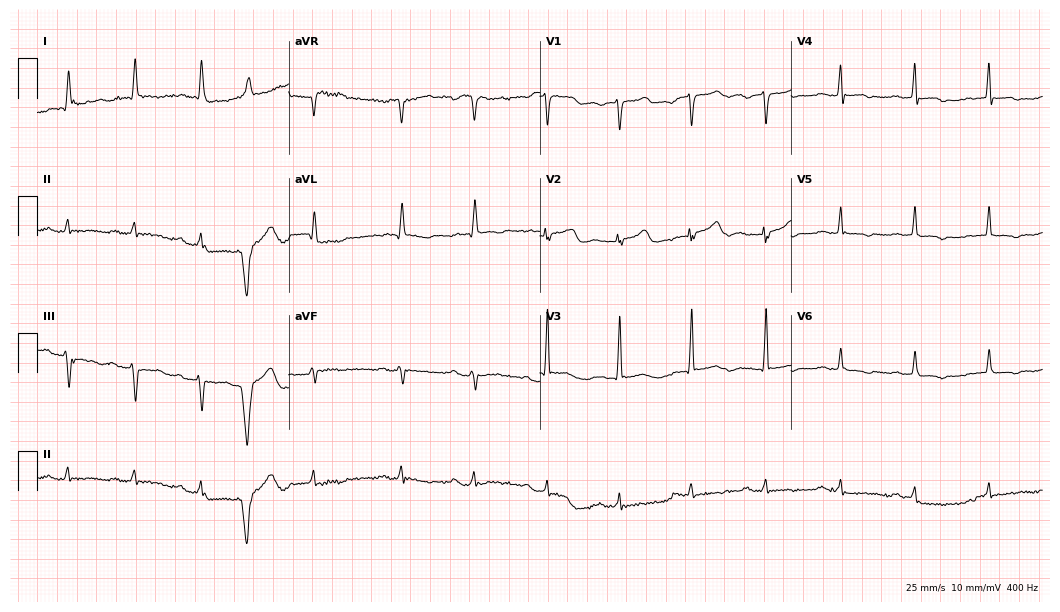
Standard 12-lead ECG recorded from an 86-year-old woman (10.2-second recording at 400 Hz). None of these six findings is recorded: first-degree AV block, right bundle branch block, left bundle branch block, sinus bradycardia, atrial fibrillation, sinus tachycardia. Findings outside these six are not listed.